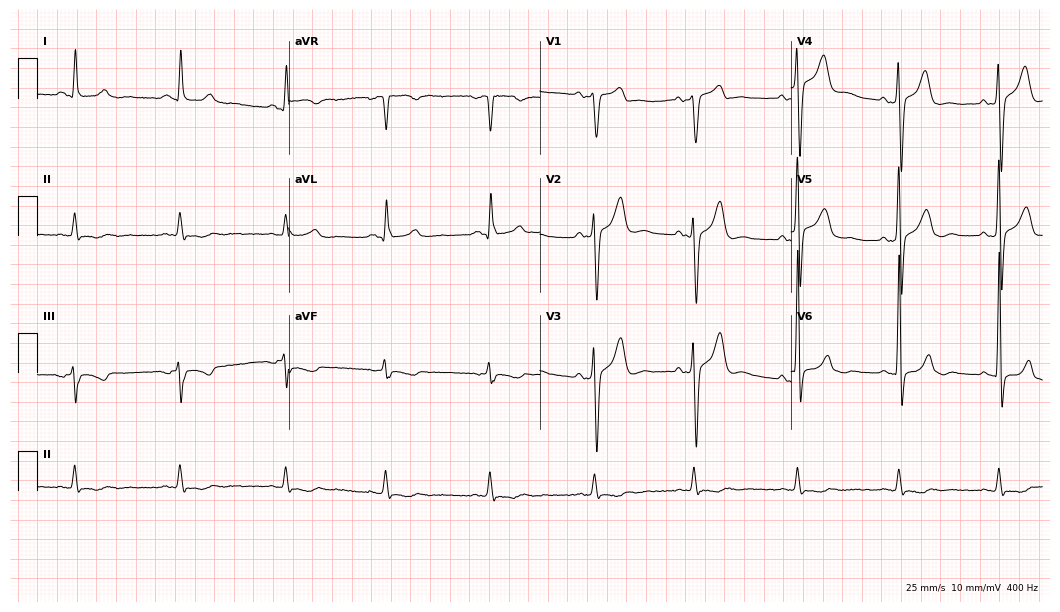
ECG (10.2-second recording at 400 Hz) — a man, 55 years old. Screened for six findings — first-degree AV block, right bundle branch block, left bundle branch block, sinus bradycardia, atrial fibrillation, sinus tachycardia — none is recorded.